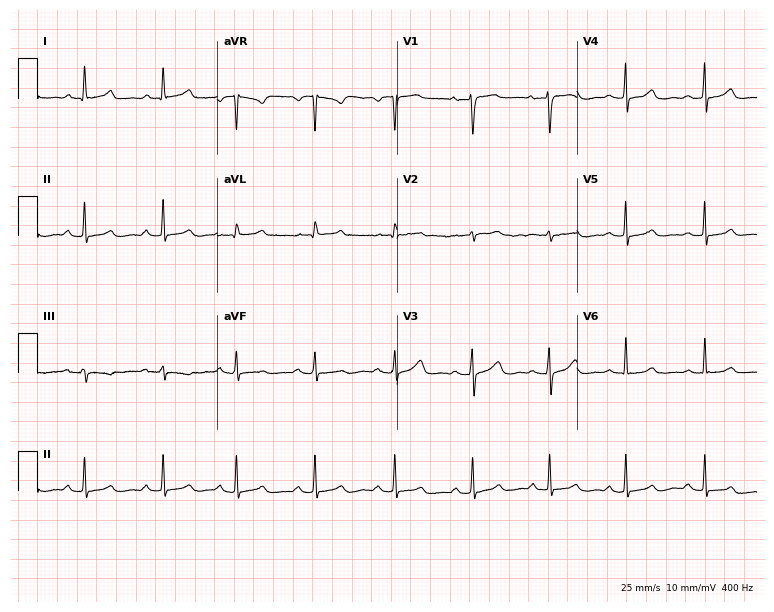
Standard 12-lead ECG recorded from a 38-year-old female patient. None of these six findings is recorded: first-degree AV block, right bundle branch block (RBBB), left bundle branch block (LBBB), sinus bradycardia, atrial fibrillation (AF), sinus tachycardia.